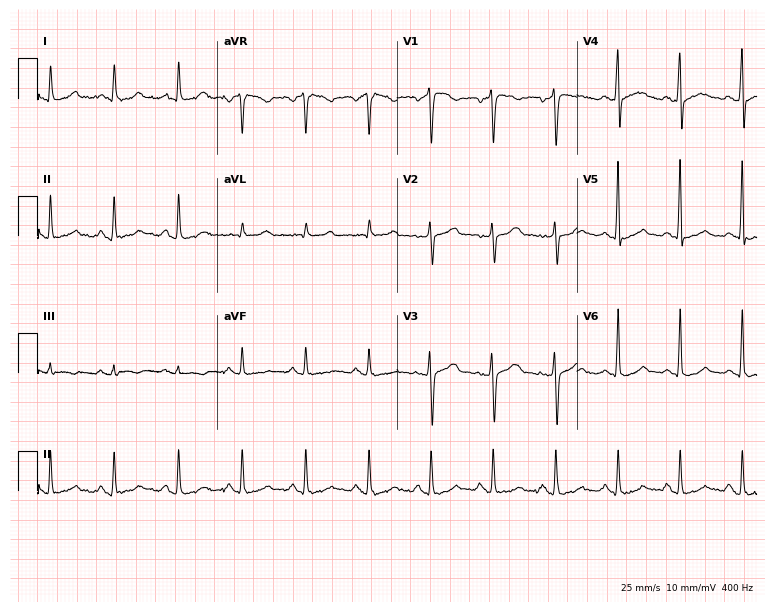
ECG — a male patient, 36 years old. Labelled as a normal ECG.